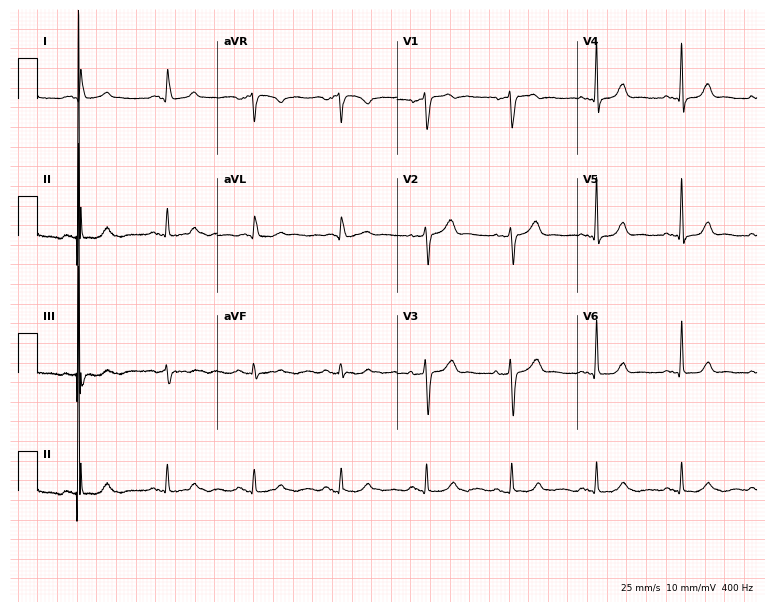
Resting 12-lead electrocardiogram. Patient: a 78-year-old man. None of these six findings is recorded: first-degree AV block, right bundle branch block, left bundle branch block, sinus bradycardia, atrial fibrillation, sinus tachycardia.